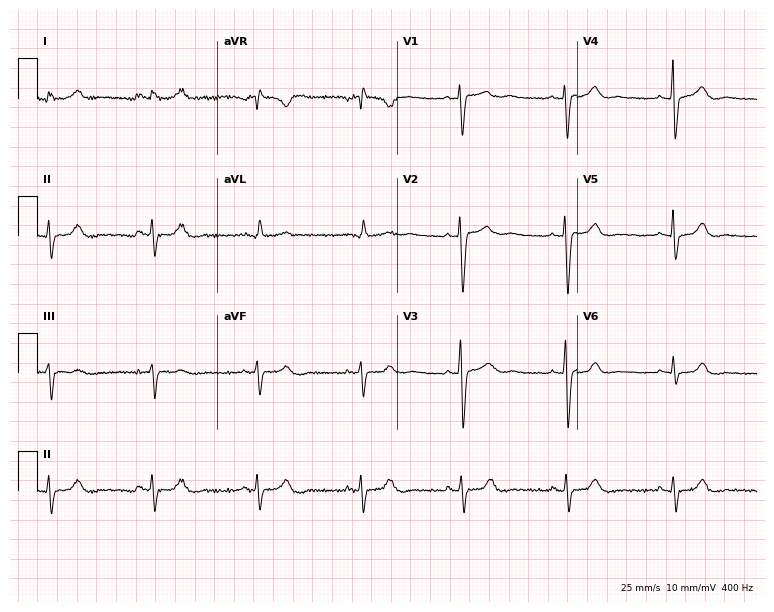
Standard 12-lead ECG recorded from a woman, 38 years old. None of these six findings is recorded: first-degree AV block, right bundle branch block, left bundle branch block, sinus bradycardia, atrial fibrillation, sinus tachycardia.